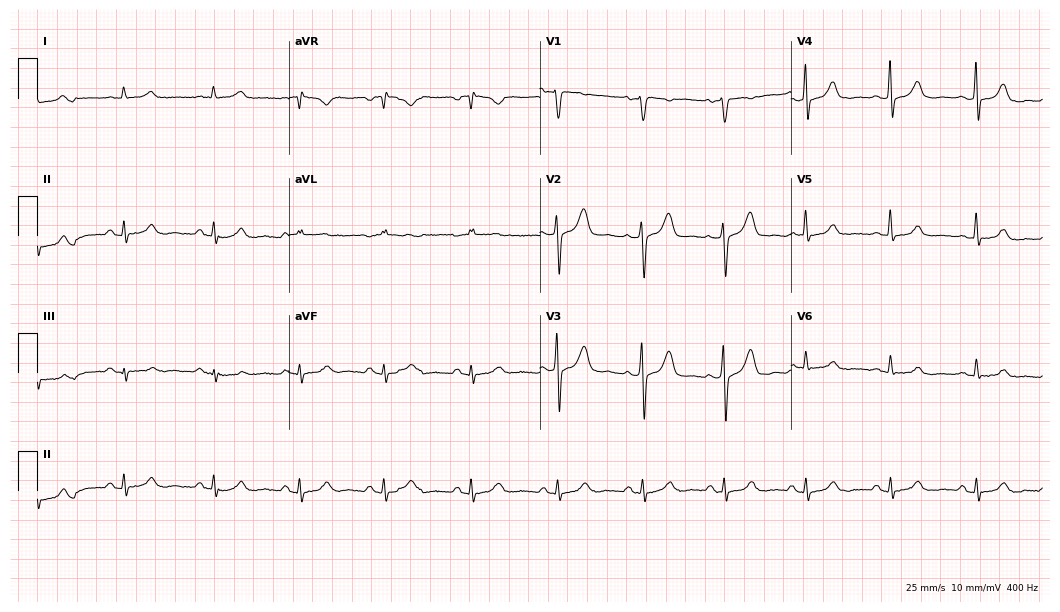
12-lead ECG from a male patient, 47 years old. Labelled as a normal ECG.